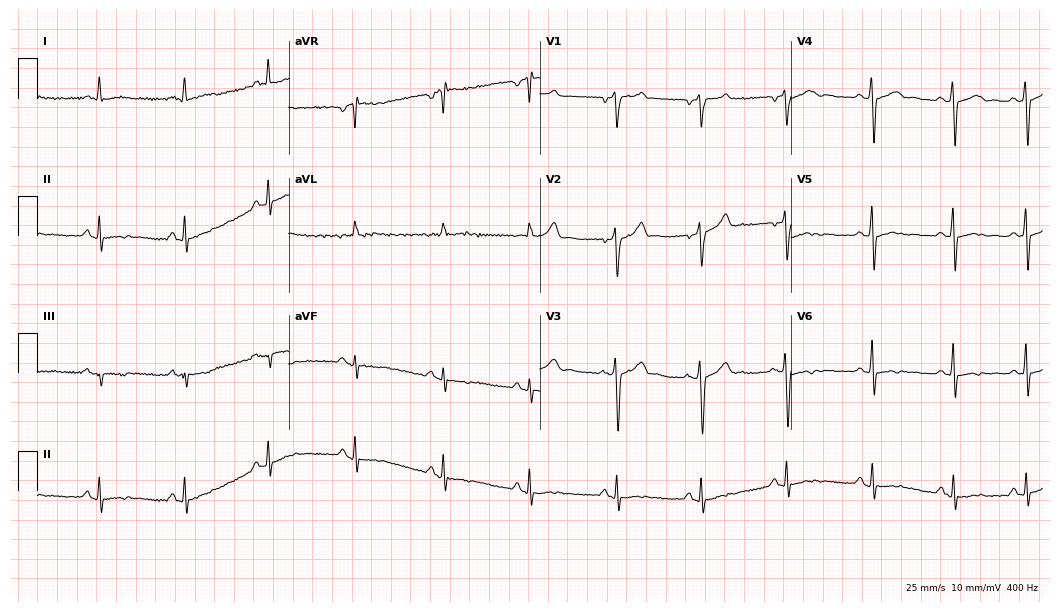
12-lead ECG (10.2-second recording at 400 Hz) from a man, 43 years old. Screened for six findings — first-degree AV block, right bundle branch block, left bundle branch block, sinus bradycardia, atrial fibrillation, sinus tachycardia — none is recorded. Findings outside these six are not listed.